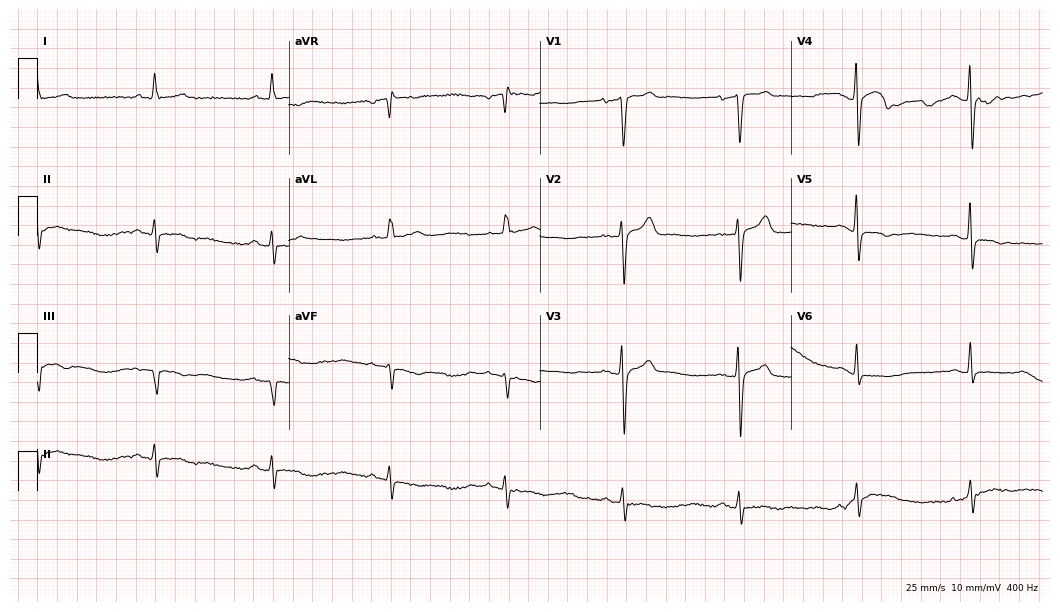
ECG — a 62-year-old man. Screened for six findings — first-degree AV block, right bundle branch block, left bundle branch block, sinus bradycardia, atrial fibrillation, sinus tachycardia — none is recorded. Only these six findings were labelled.